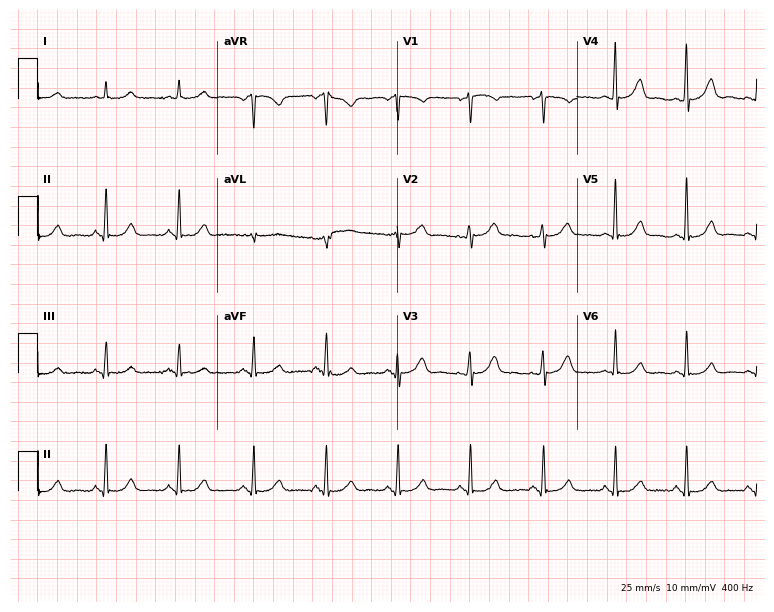
Resting 12-lead electrocardiogram. Patient: a 55-year-old female. Read as a normal ECG.